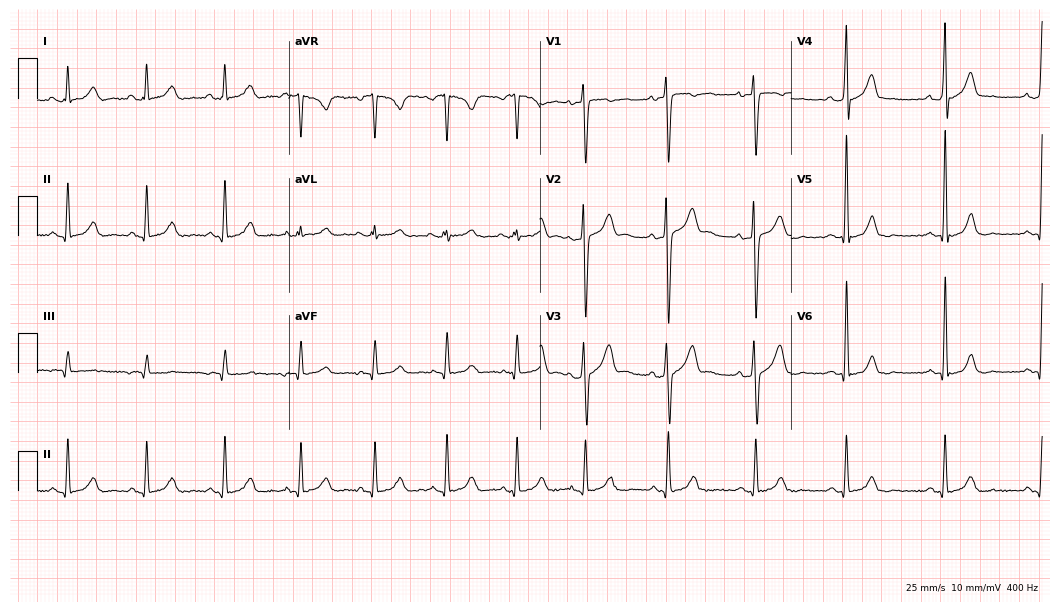
12-lead ECG from a 26-year-old male patient. Recorded interpretation: within normal limits.